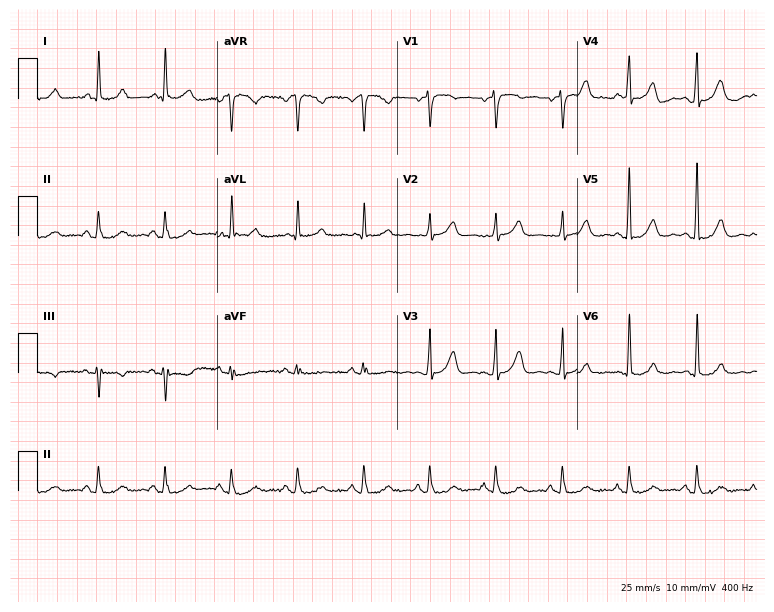
12-lead ECG from a male patient, 72 years old (7.3-second recording at 400 Hz). Recorded interpretation: within normal limits.